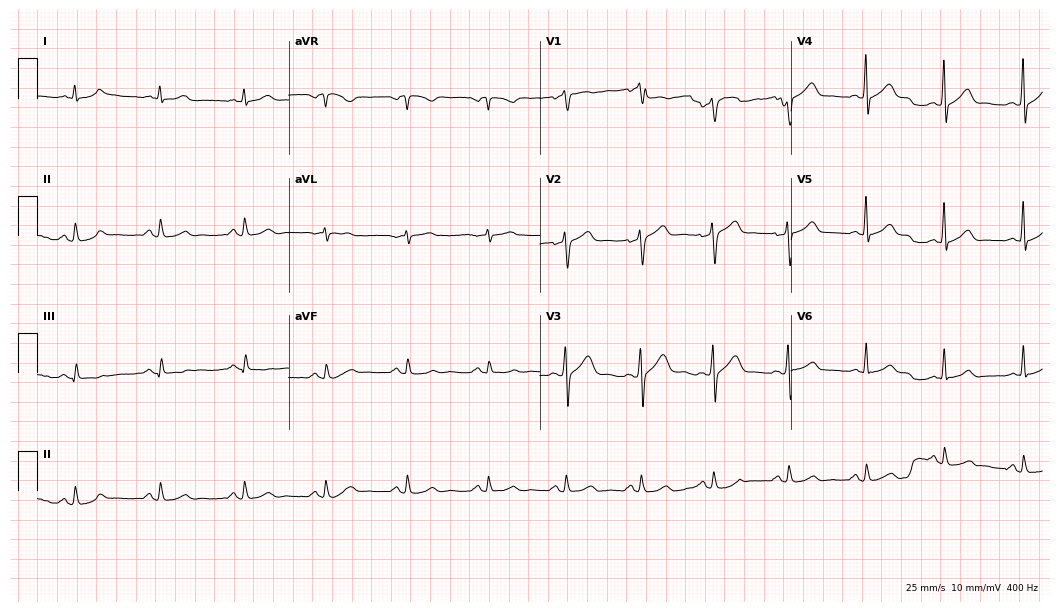
Electrocardiogram (10.2-second recording at 400 Hz), a man, 41 years old. Overall reading on record: normal ECG.